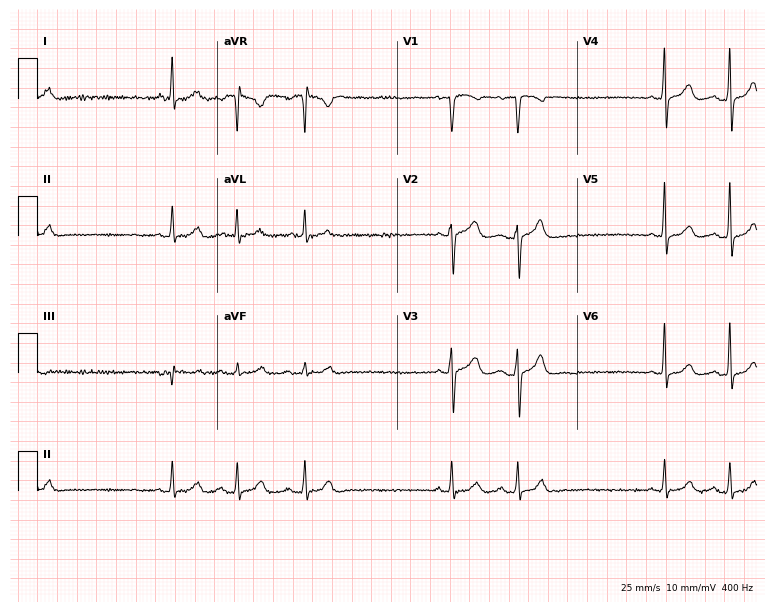
Electrocardiogram, a female, 48 years old. Overall reading on record: normal ECG.